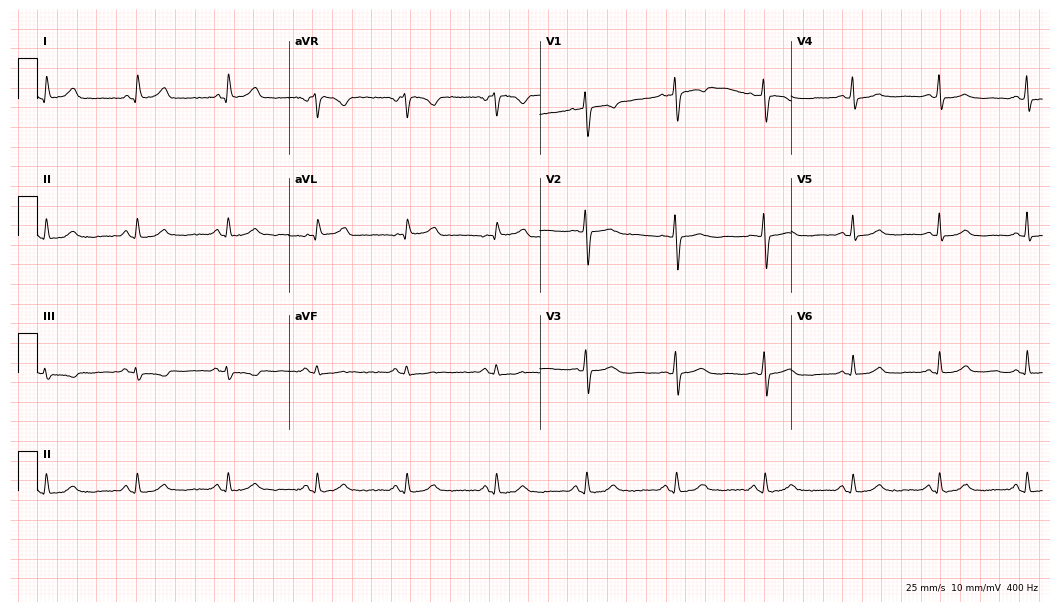
Resting 12-lead electrocardiogram. Patient: a 51-year-old female. Read as a normal ECG.